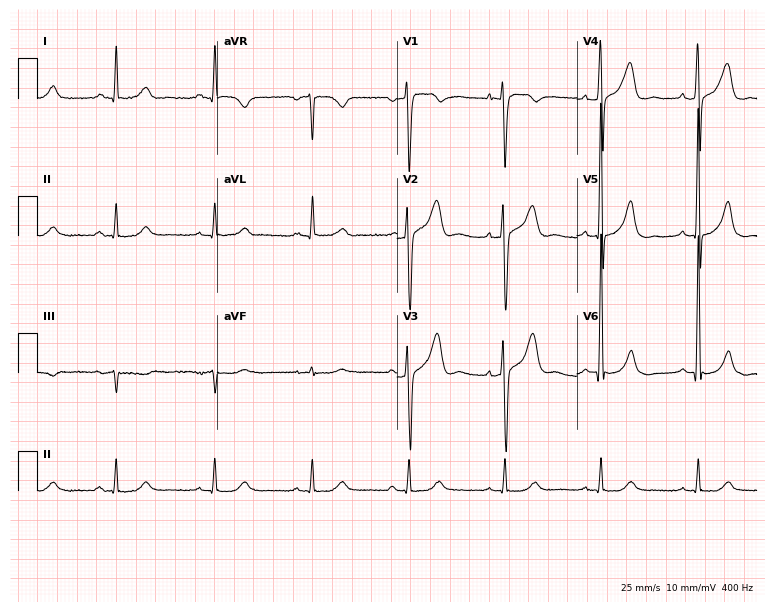
12-lead ECG (7.3-second recording at 400 Hz) from an 82-year-old male. Labelled as a normal ECG.